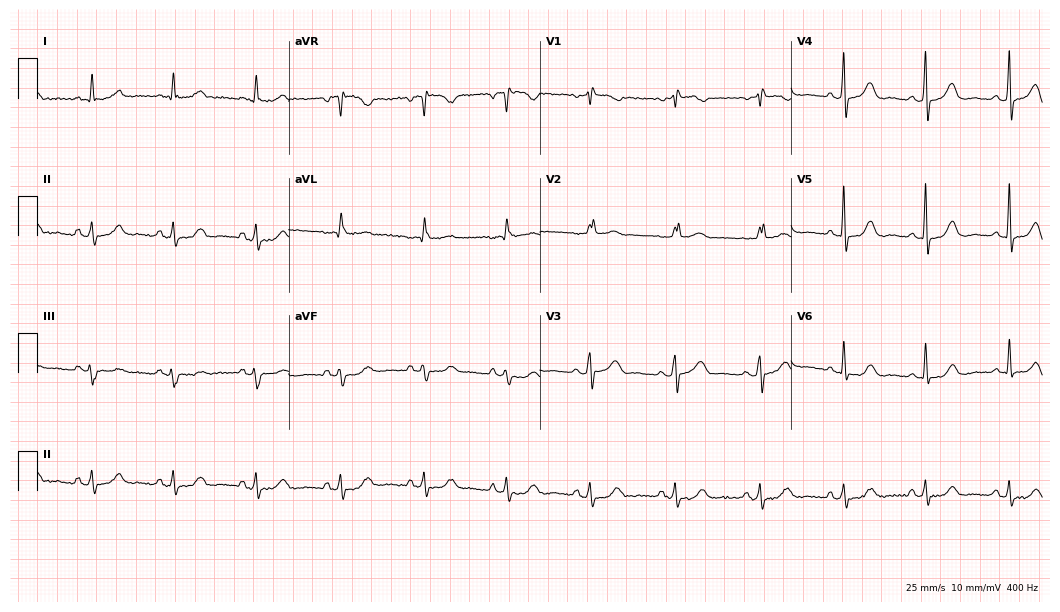
Standard 12-lead ECG recorded from a female, 76 years old (10.2-second recording at 400 Hz). Read as a normal ECG.